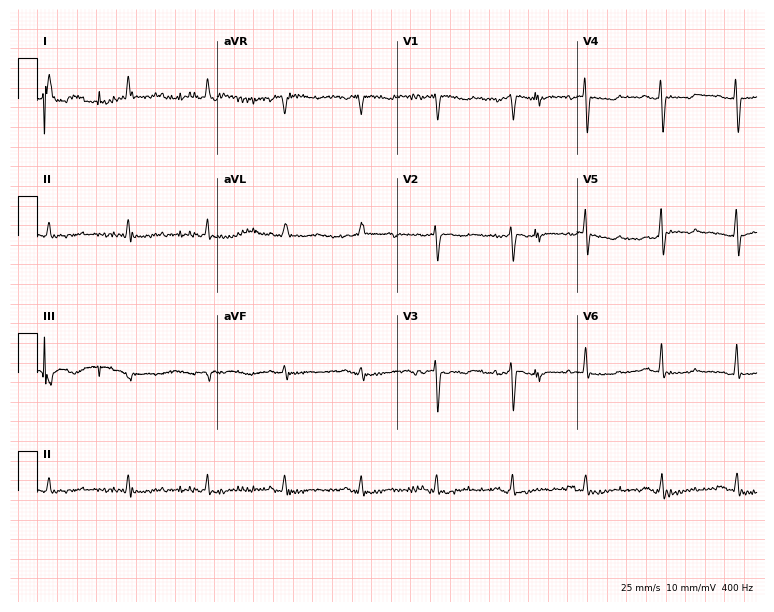
Standard 12-lead ECG recorded from a 70-year-old woman (7.3-second recording at 400 Hz). None of these six findings is recorded: first-degree AV block, right bundle branch block, left bundle branch block, sinus bradycardia, atrial fibrillation, sinus tachycardia. Findings outside these six are not listed.